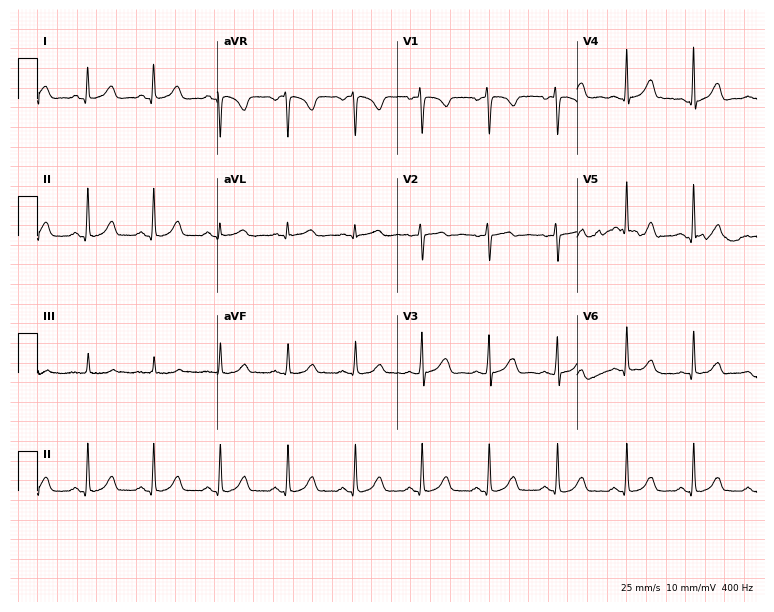
Standard 12-lead ECG recorded from a female patient, 26 years old. Read as a normal ECG.